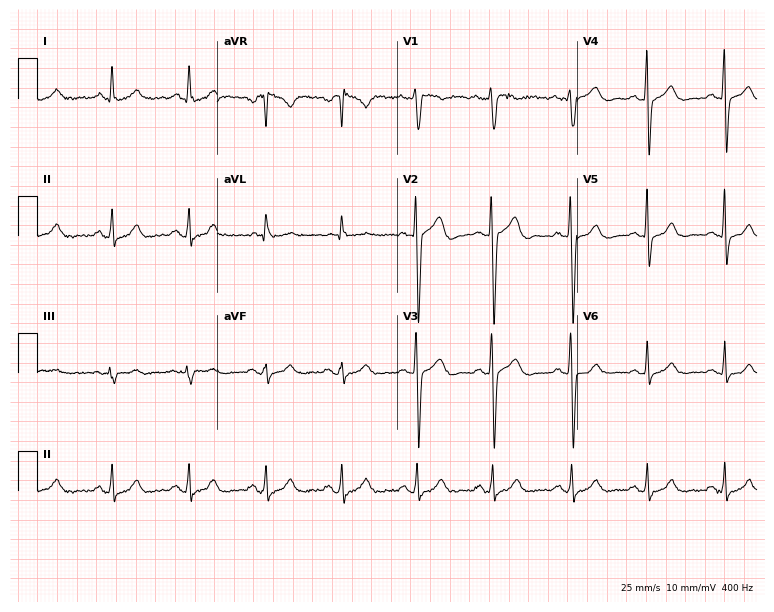
Resting 12-lead electrocardiogram. Patient: a man, 32 years old. Read as a normal ECG.